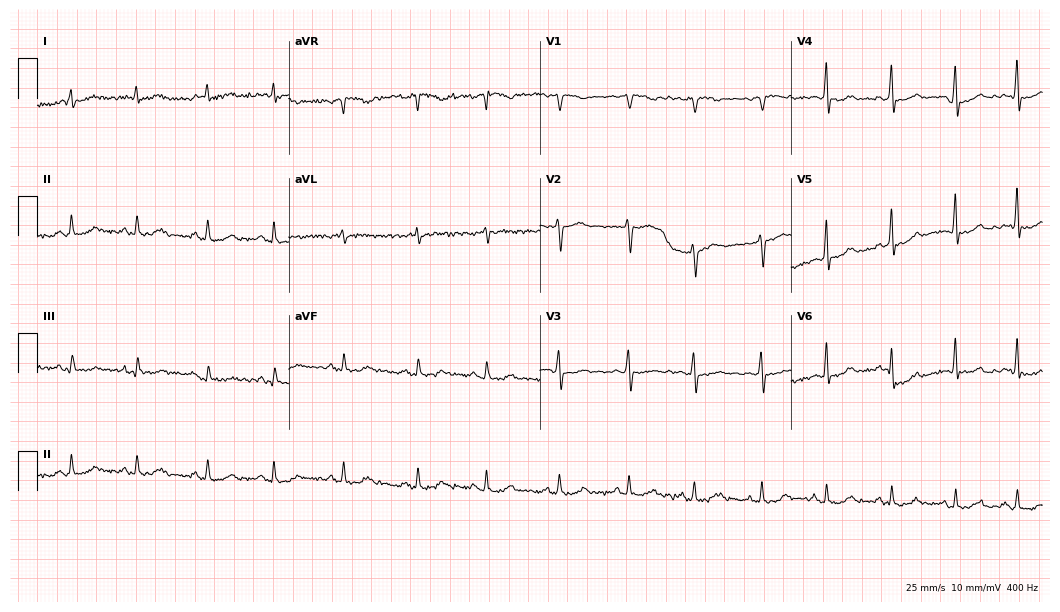
Electrocardiogram (10.2-second recording at 400 Hz), a 39-year-old woman. Of the six screened findings (first-degree AV block, right bundle branch block (RBBB), left bundle branch block (LBBB), sinus bradycardia, atrial fibrillation (AF), sinus tachycardia), none is recorded.